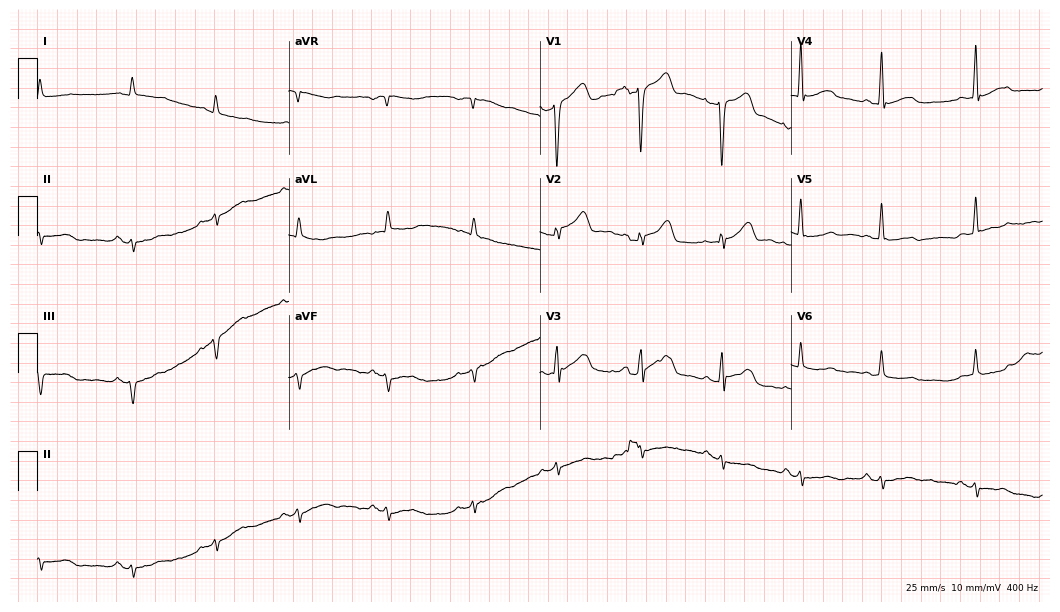
Standard 12-lead ECG recorded from a 66-year-old man (10.2-second recording at 400 Hz). None of these six findings is recorded: first-degree AV block, right bundle branch block, left bundle branch block, sinus bradycardia, atrial fibrillation, sinus tachycardia.